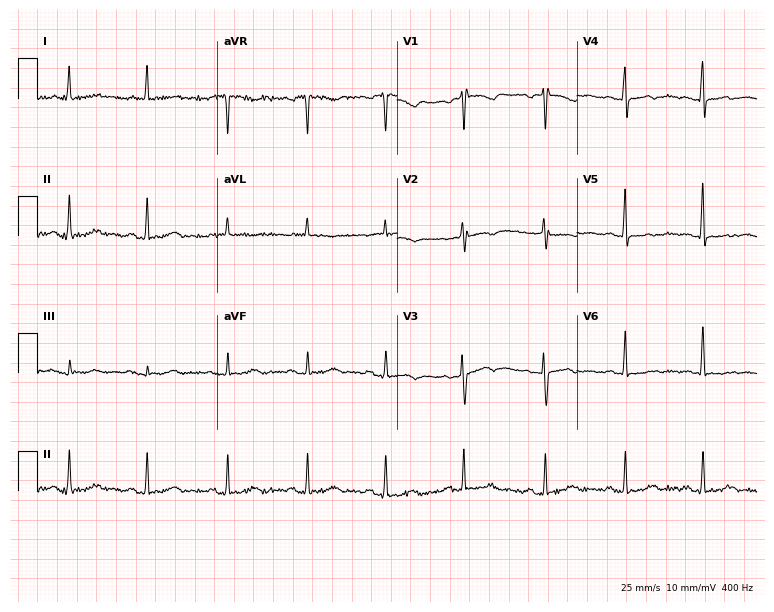
ECG (7.3-second recording at 400 Hz) — a female, 53 years old. Screened for six findings — first-degree AV block, right bundle branch block, left bundle branch block, sinus bradycardia, atrial fibrillation, sinus tachycardia — none is recorded.